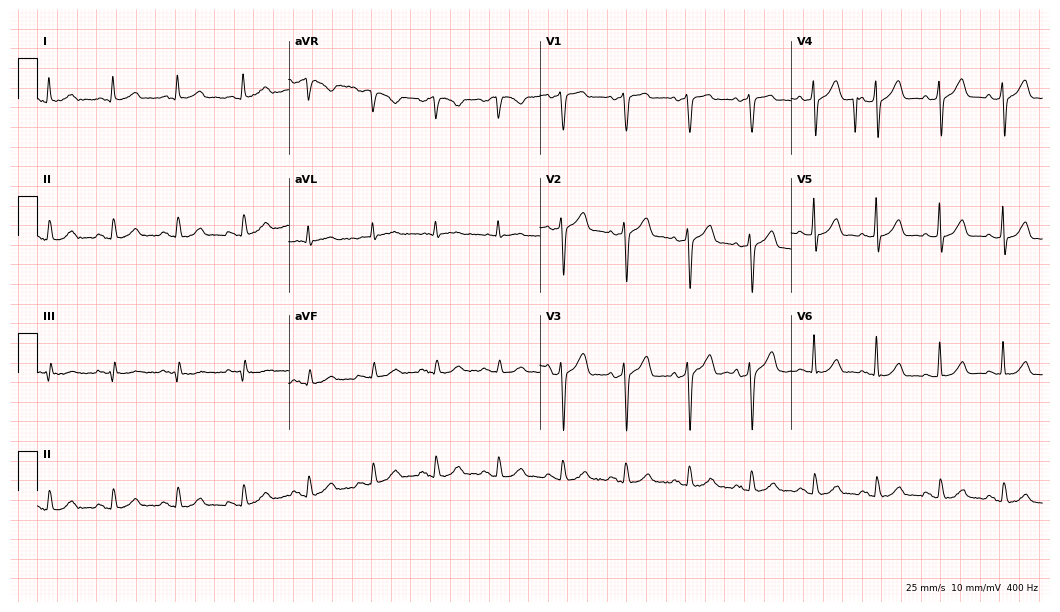
Standard 12-lead ECG recorded from a 76-year-old male patient. Read as a normal ECG.